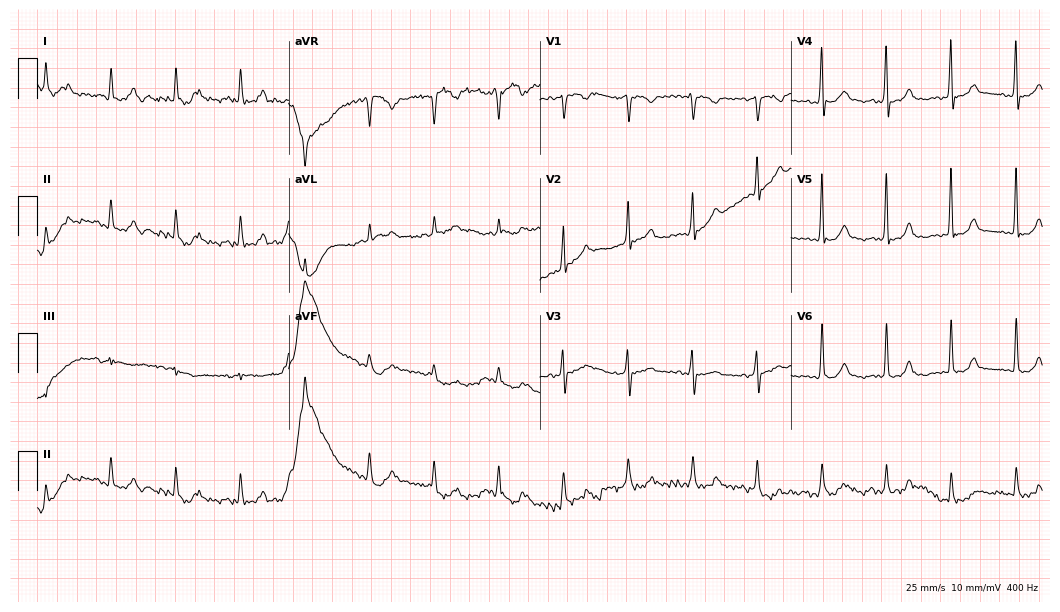
Standard 12-lead ECG recorded from a 70-year-old male patient. Read as a normal ECG.